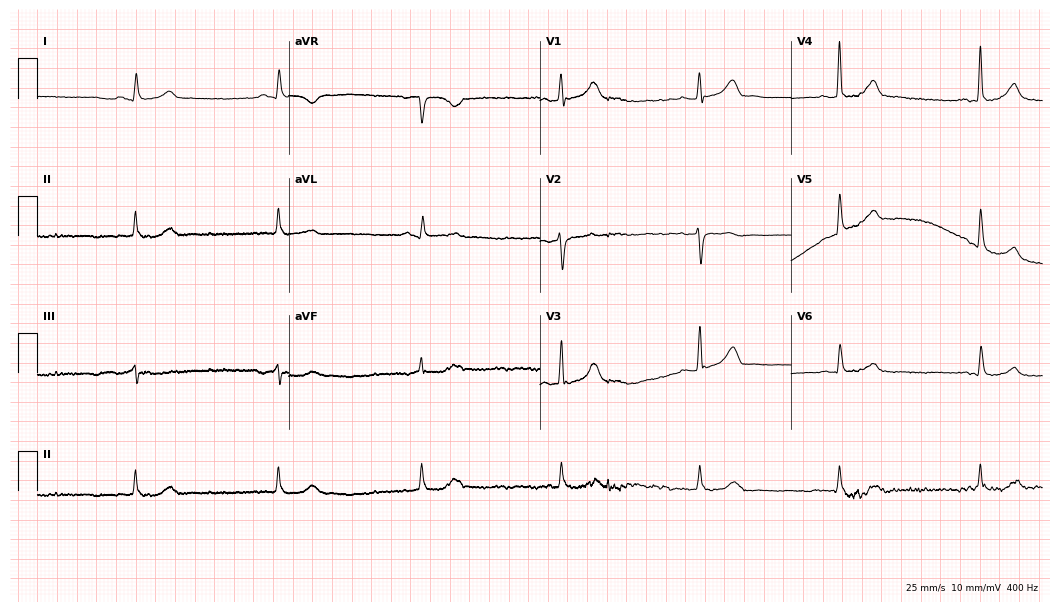
Resting 12-lead electrocardiogram. Patient: a 63-year-old male. The tracing shows sinus bradycardia (a sinus rate of 50 beats per minute or less).